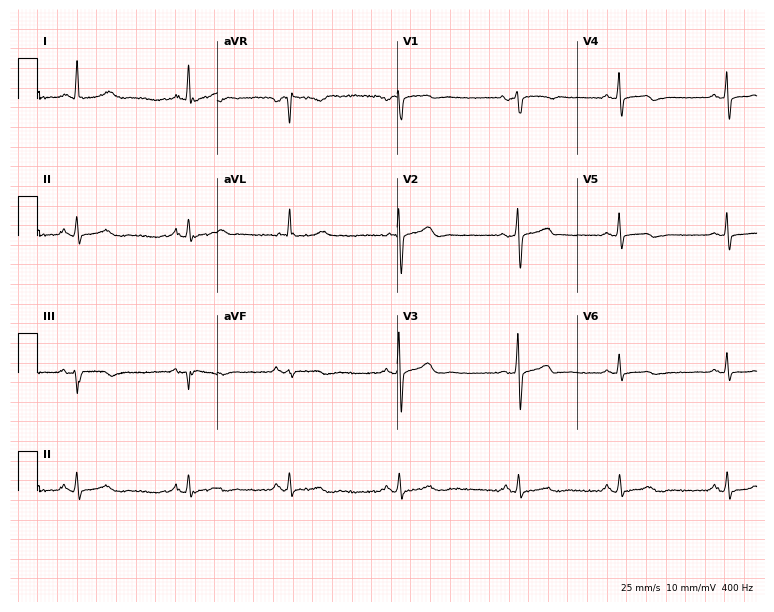
ECG (7.3-second recording at 400 Hz) — a woman, 56 years old. Screened for six findings — first-degree AV block, right bundle branch block (RBBB), left bundle branch block (LBBB), sinus bradycardia, atrial fibrillation (AF), sinus tachycardia — none is recorded.